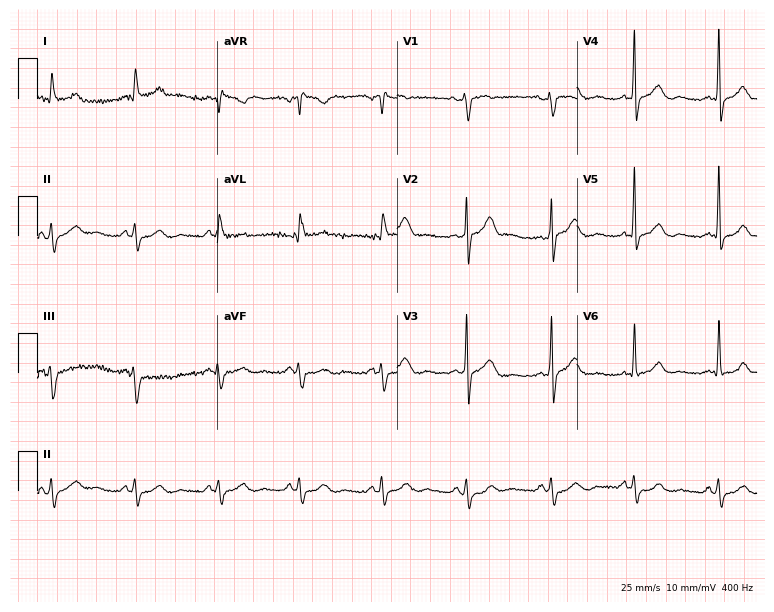
Resting 12-lead electrocardiogram (7.3-second recording at 400 Hz). Patient: a man, 51 years old. None of these six findings is recorded: first-degree AV block, right bundle branch block, left bundle branch block, sinus bradycardia, atrial fibrillation, sinus tachycardia.